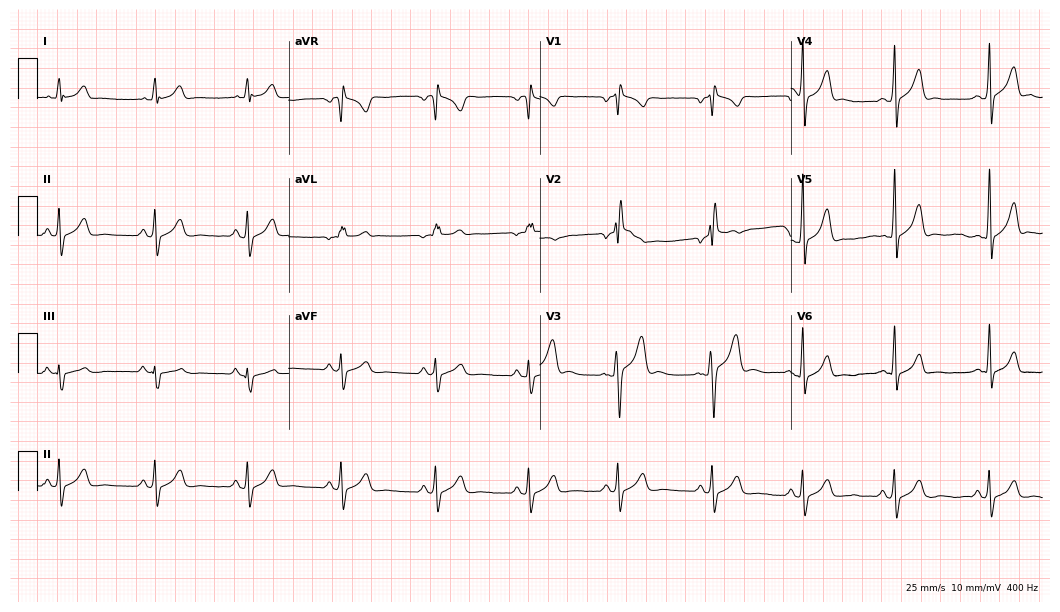
Standard 12-lead ECG recorded from a 21-year-old male patient (10.2-second recording at 400 Hz). None of these six findings is recorded: first-degree AV block, right bundle branch block, left bundle branch block, sinus bradycardia, atrial fibrillation, sinus tachycardia. Other findings, if any, are not listed.